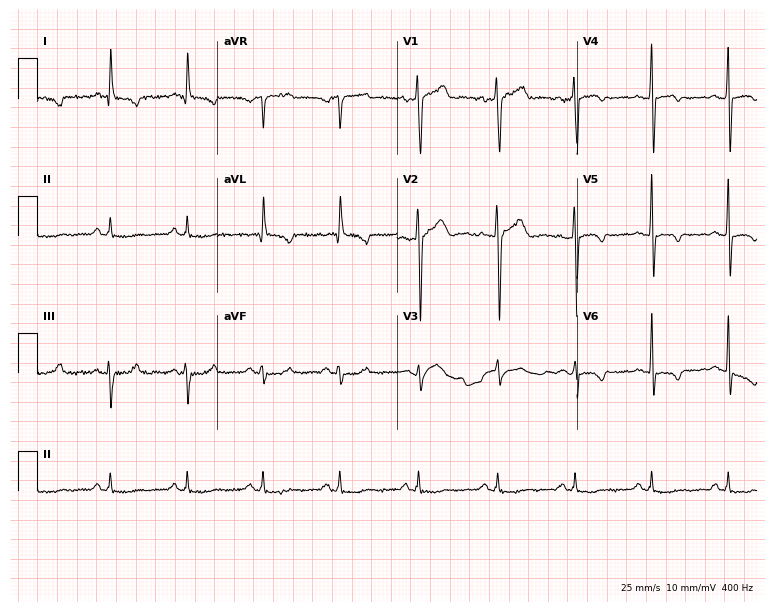
Resting 12-lead electrocardiogram. Patient: a 53-year-old male. None of these six findings is recorded: first-degree AV block, right bundle branch block, left bundle branch block, sinus bradycardia, atrial fibrillation, sinus tachycardia.